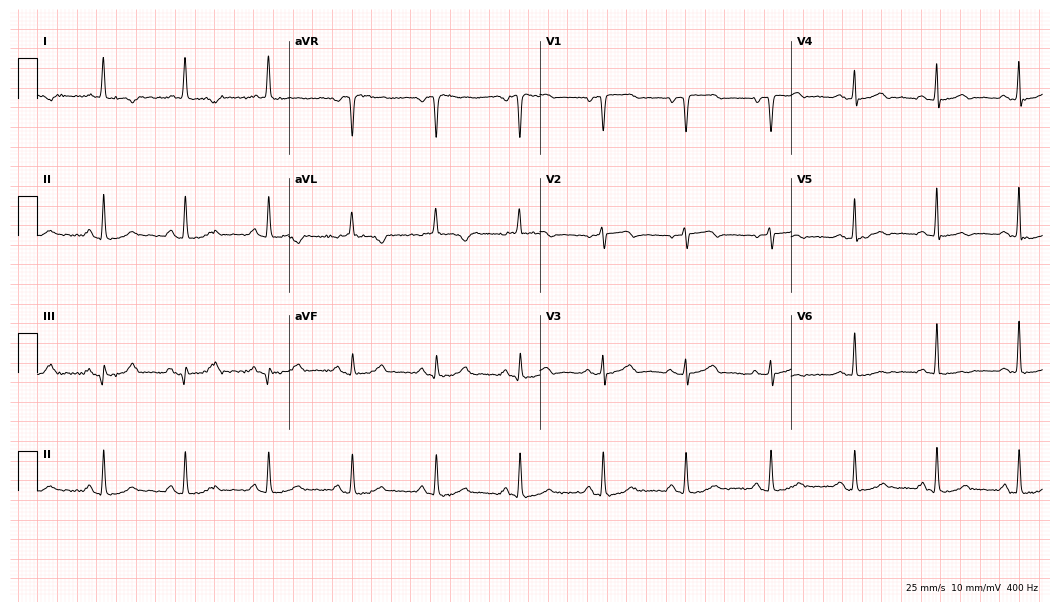
Standard 12-lead ECG recorded from a female, 75 years old (10.2-second recording at 400 Hz). None of these six findings is recorded: first-degree AV block, right bundle branch block, left bundle branch block, sinus bradycardia, atrial fibrillation, sinus tachycardia.